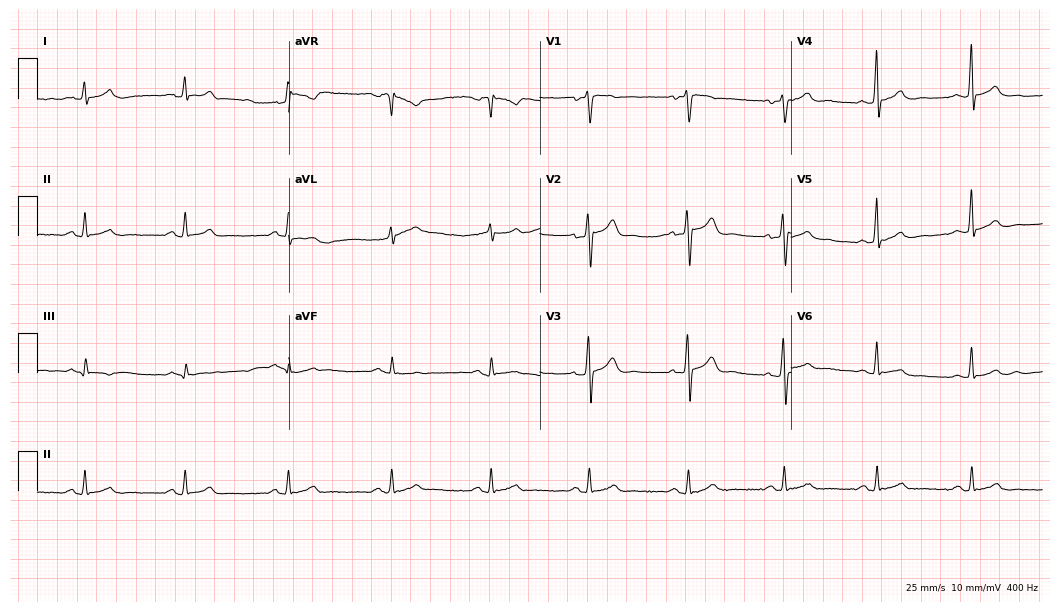
Electrocardiogram, a 44-year-old male patient. Overall reading on record: normal ECG.